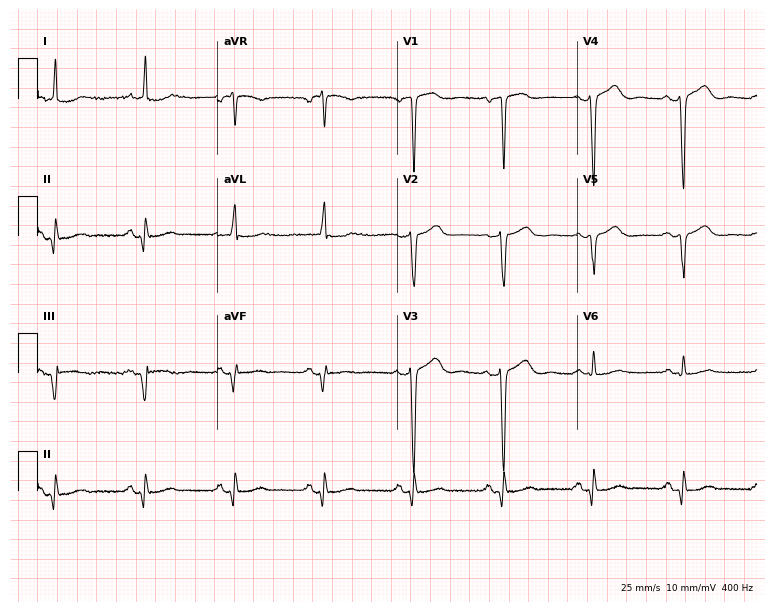
Electrocardiogram (7.3-second recording at 400 Hz), a female, 68 years old. Of the six screened findings (first-degree AV block, right bundle branch block, left bundle branch block, sinus bradycardia, atrial fibrillation, sinus tachycardia), none is recorded. Other findings, if any, are not listed.